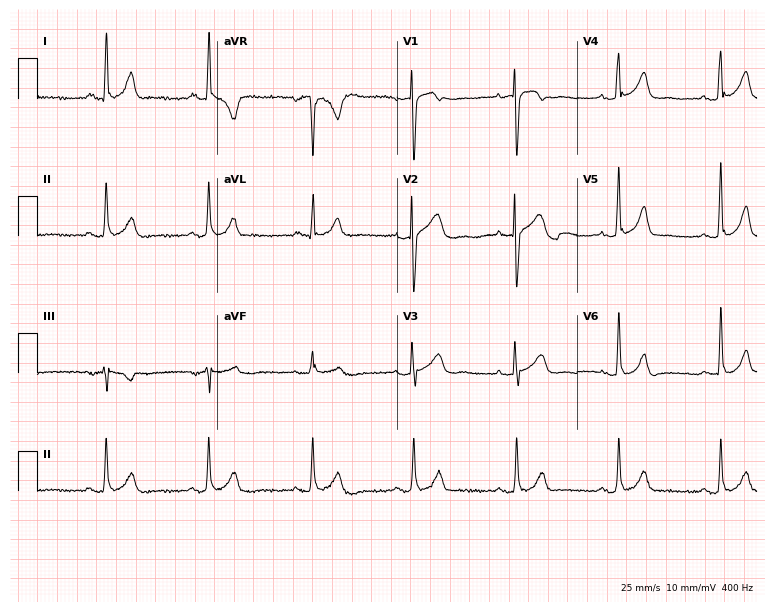
ECG — a woman, 61 years old. Screened for six findings — first-degree AV block, right bundle branch block (RBBB), left bundle branch block (LBBB), sinus bradycardia, atrial fibrillation (AF), sinus tachycardia — none is recorded.